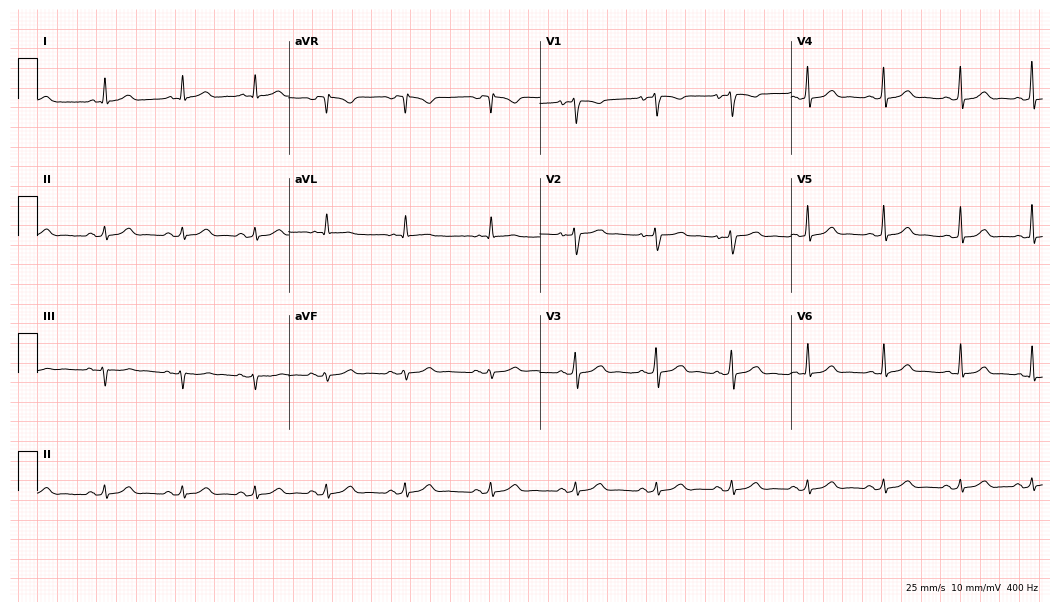
Electrocardiogram, a female patient, 42 years old. Overall reading on record: normal ECG.